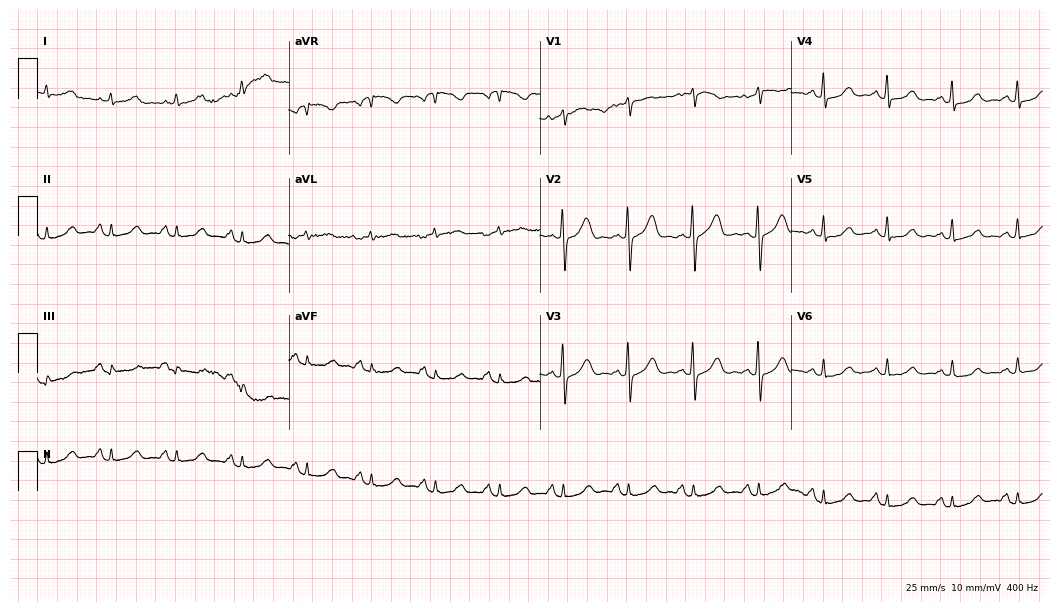
ECG — a female patient, 76 years old. Labelled as a normal ECG.